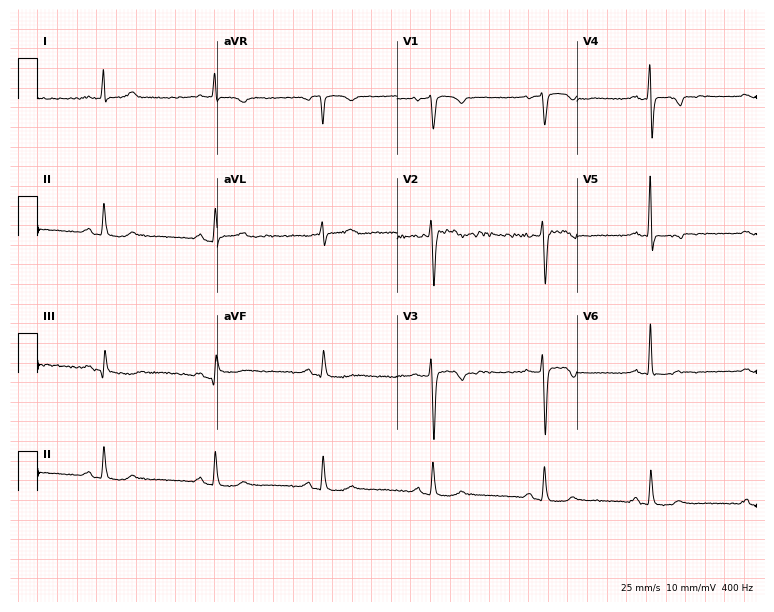
Standard 12-lead ECG recorded from a 57-year-old female (7.3-second recording at 400 Hz). None of these six findings is recorded: first-degree AV block, right bundle branch block, left bundle branch block, sinus bradycardia, atrial fibrillation, sinus tachycardia. Other findings, if any, are not listed.